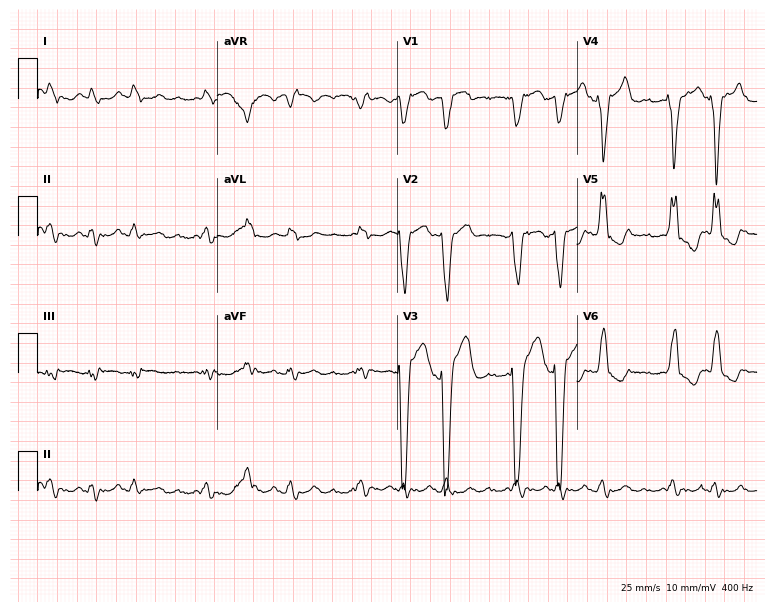
12-lead ECG from a male patient, 80 years old. Findings include left bundle branch block, atrial fibrillation.